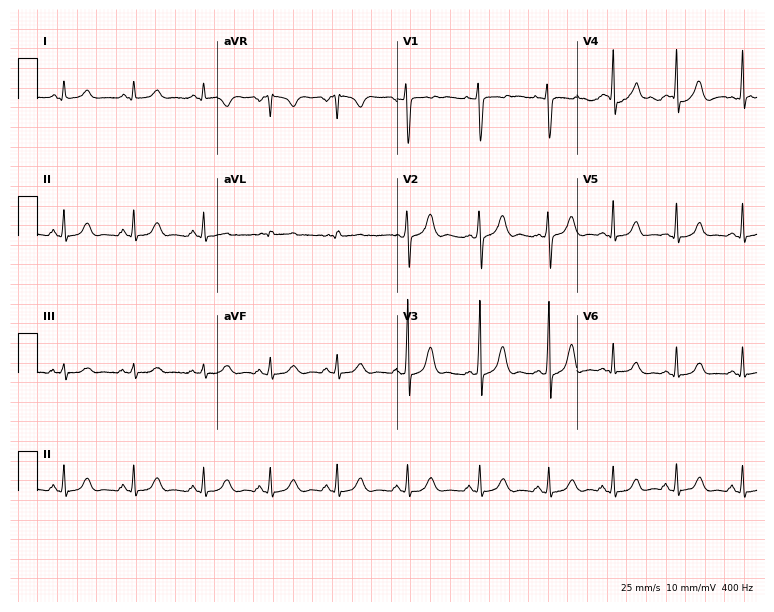
Resting 12-lead electrocardiogram (7.3-second recording at 400 Hz). Patient: a female, 19 years old. None of these six findings is recorded: first-degree AV block, right bundle branch block (RBBB), left bundle branch block (LBBB), sinus bradycardia, atrial fibrillation (AF), sinus tachycardia. Only these six findings were labelled.